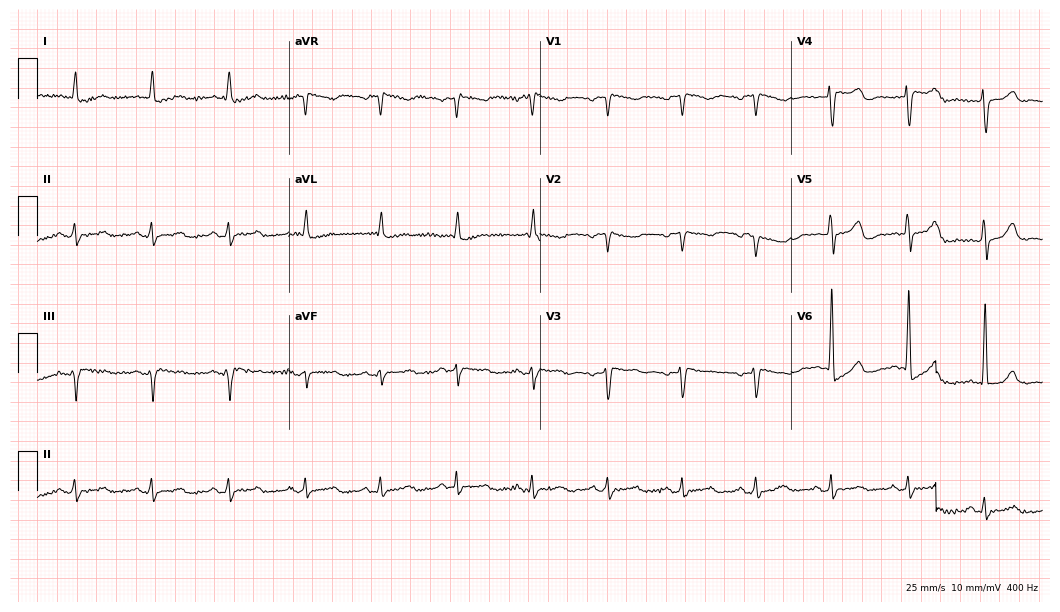
Resting 12-lead electrocardiogram. Patient: an 81-year-old woman. None of these six findings is recorded: first-degree AV block, right bundle branch block, left bundle branch block, sinus bradycardia, atrial fibrillation, sinus tachycardia.